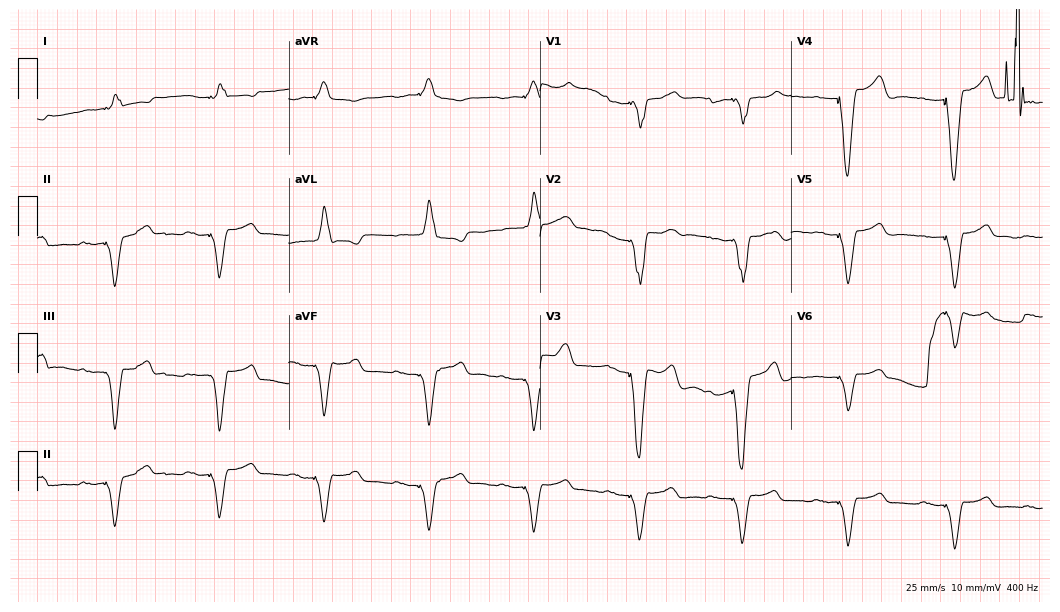
12-lead ECG (10.2-second recording at 400 Hz) from a woman, 83 years old. Screened for six findings — first-degree AV block, right bundle branch block, left bundle branch block, sinus bradycardia, atrial fibrillation, sinus tachycardia — none is recorded. Findings outside these six are not listed.